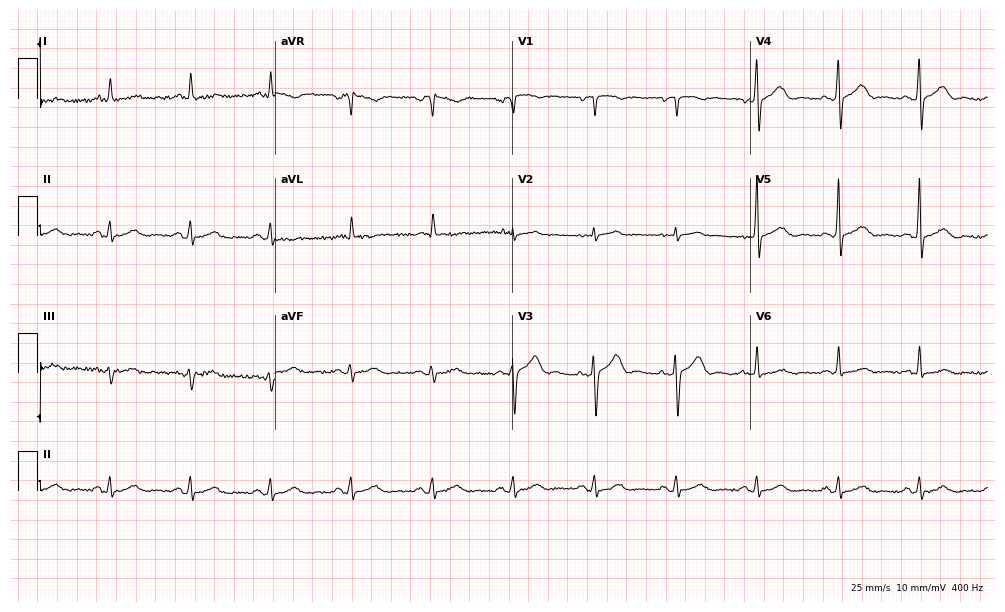
Standard 12-lead ECG recorded from a 61-year-old male. Read as a normal ECG.